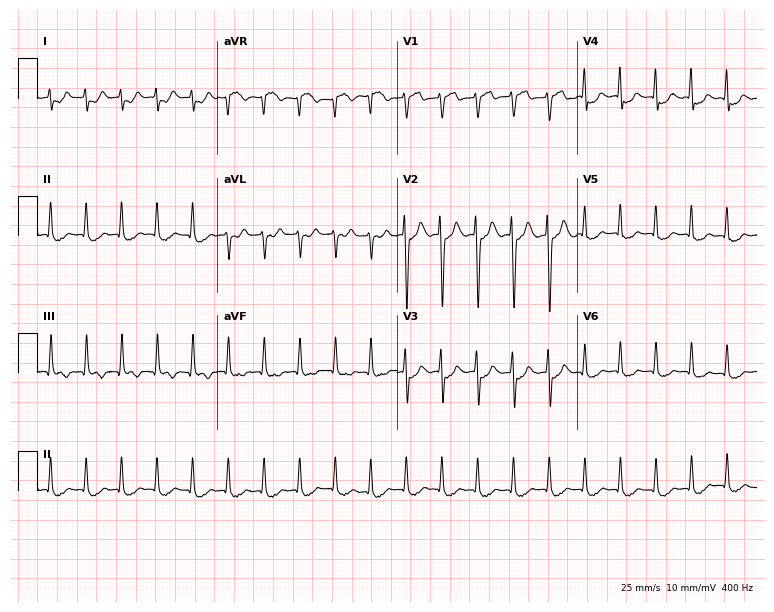
Resting 12-lead electrocardiogram (7.3-second recording at 400 Hz). Patient: a 46-year-old female. The tracing shows sinus tachycardia (a sinus rate of 100 beats per minute or more).